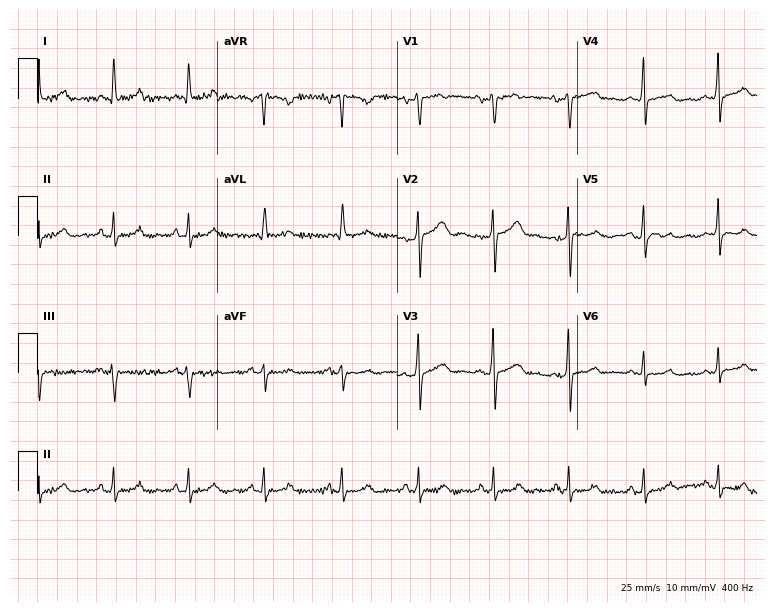
12-lead ECG (7.3-second recording at 400 Hz) from a female patient, 41 years old. Screened for six findings — first-degree AV block, right bundle branch block (RBBB), left bundle branch block (LBBB), sinus bradycardia, atrial fibrillation (AF), sinus tachycardia — none is recorded.